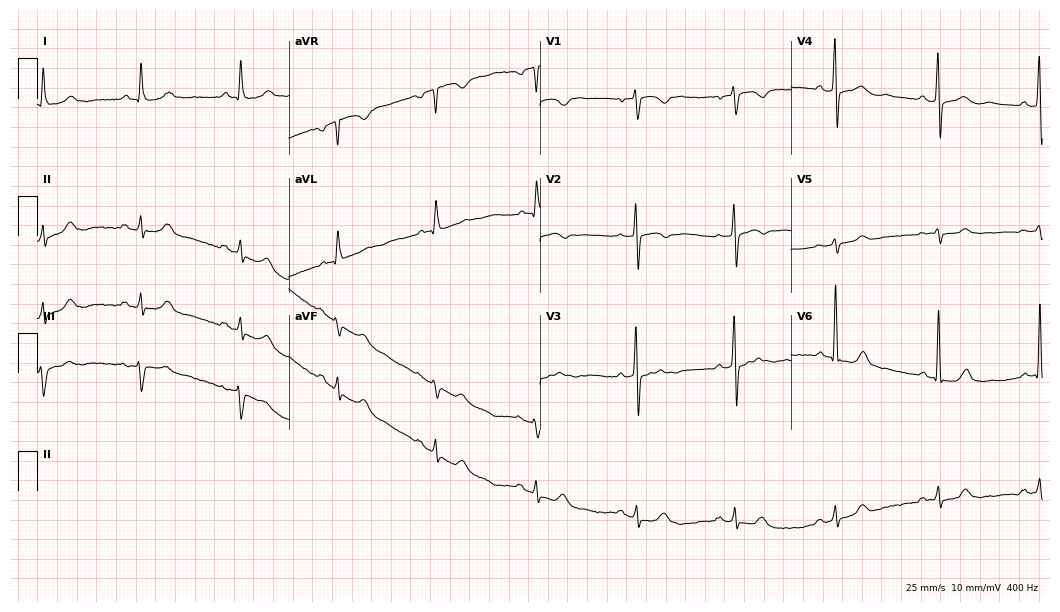
Resting 12-lead electrocardiogram. Patient: a 79-year-old female. Read as a normal ECG.